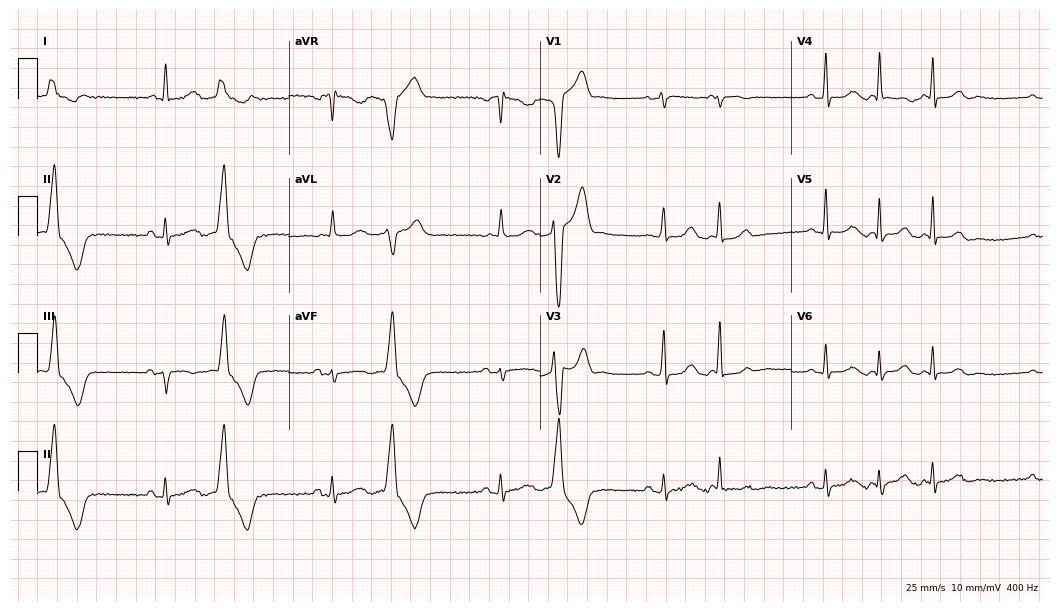
12-lead ECG from a female, 72 years old. Screened for six findings — first-degree AV block, right bundle branch block, left bundle branch block, sinus bradycardia, atrial fibrillation, sinus tachycardia — none is recorded. Findings outside these six are not listed.